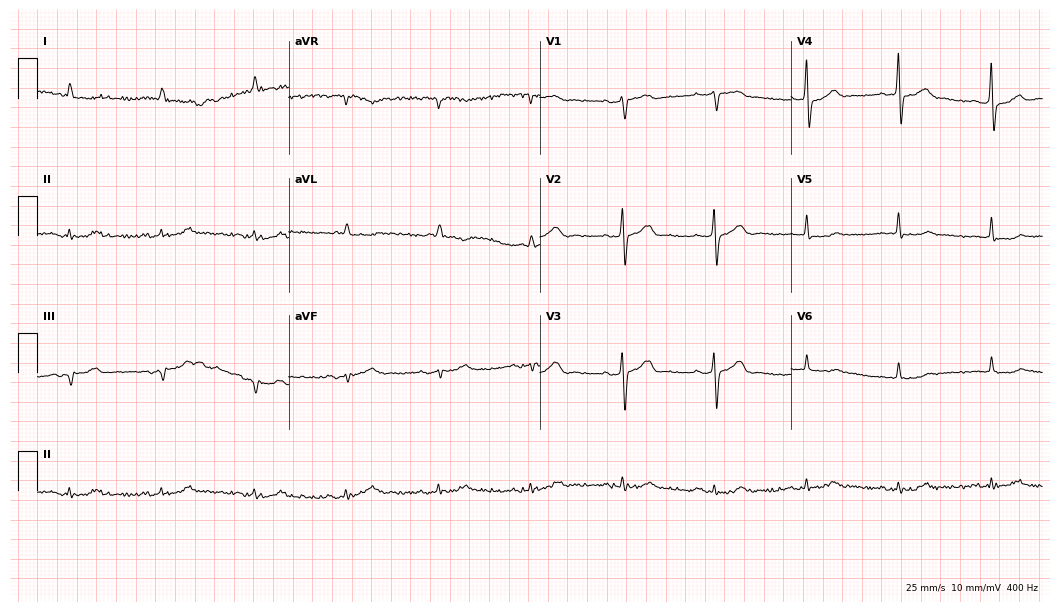
Standard 12-lead ECG recorded from an 85-year-old woman (10.2-second recording at 400 Hz). None of these six findings is recorded: first-degree AV block, right bundle branch block, left bundle branch block, sinus bradycardia, atrial fibrillation, sinus tachycardia. Findings outside these six are not listed.